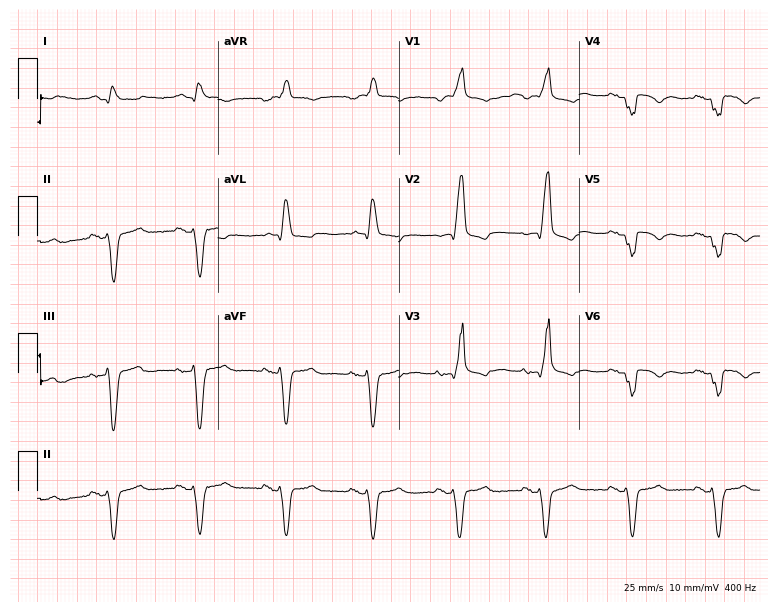
Electrocardiogram, a 79-year-old man. Of the six screened findings (first-degree AV block, right bundle branch block, left bundle branch block, sinus bradycardia, atrial fibrillation, sinus tachycardia), none is recorded.